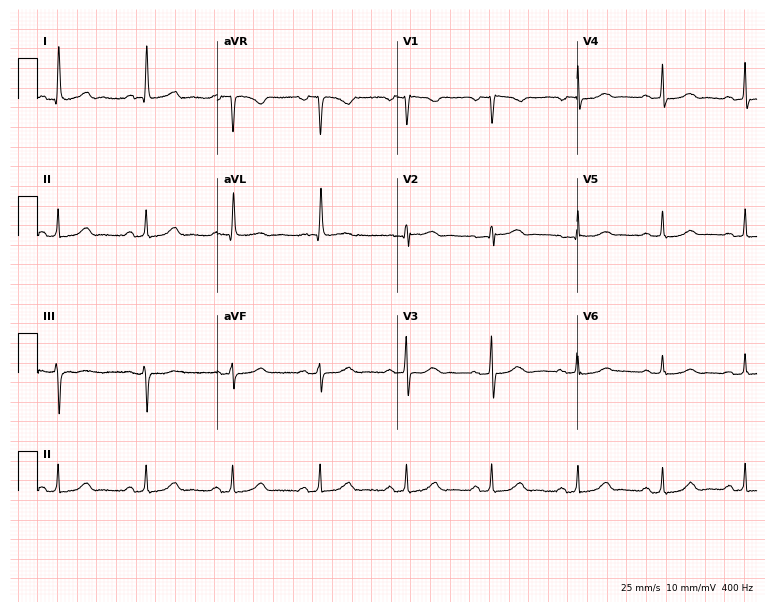
Standard 12-lead ECG recorded from a 55-year-old woman (7.3-second recording at 400 Hz). Read as a normal ECG.